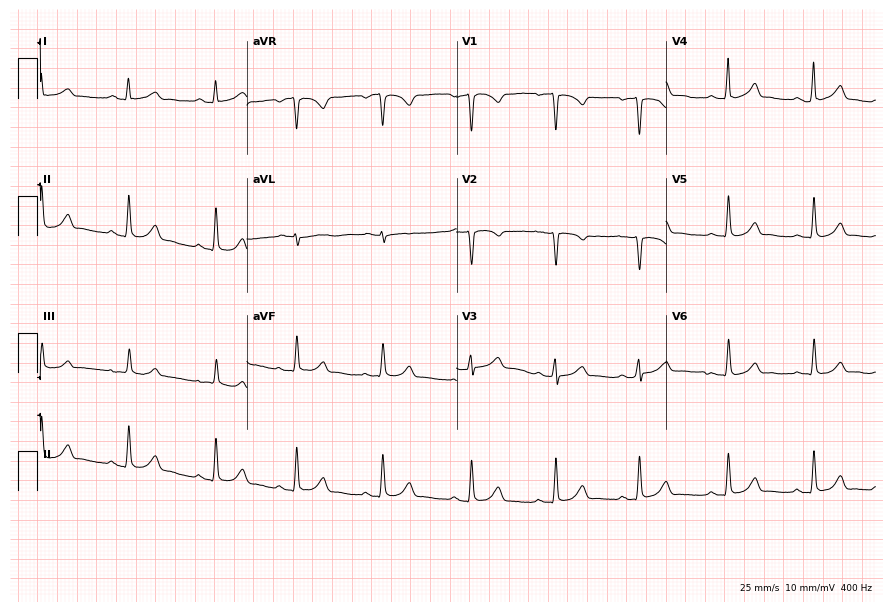
ECG (8.5-second recording at 400 Hz) — a female, 34 years old. Labelled as a normal ECG.